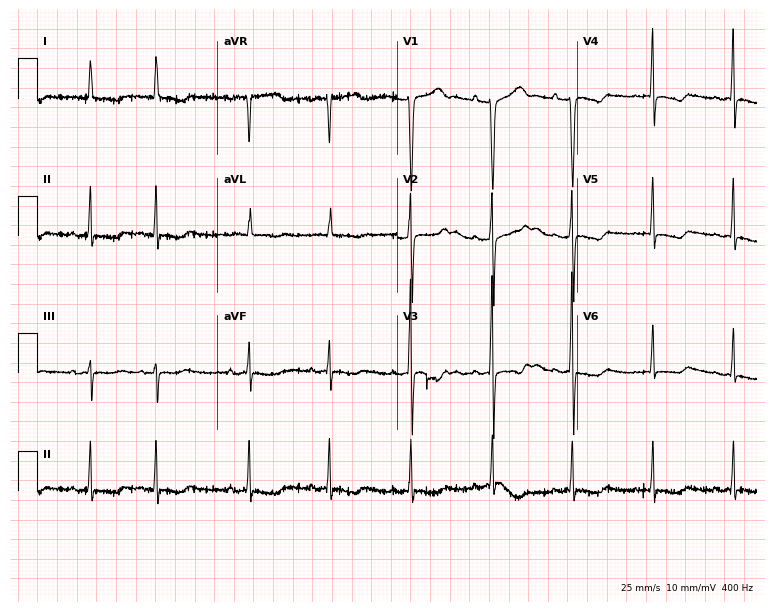
Electrocardiogram, a male, 85 years old. Of the six screened findings (first-degree AV block, right bundle branch block (RBBB), left bundle branch block (LBBB), sinus bradycardia, atrial fibrillation (AF), sinus tachycardia), none is recorded. Only these six findings were labelled.